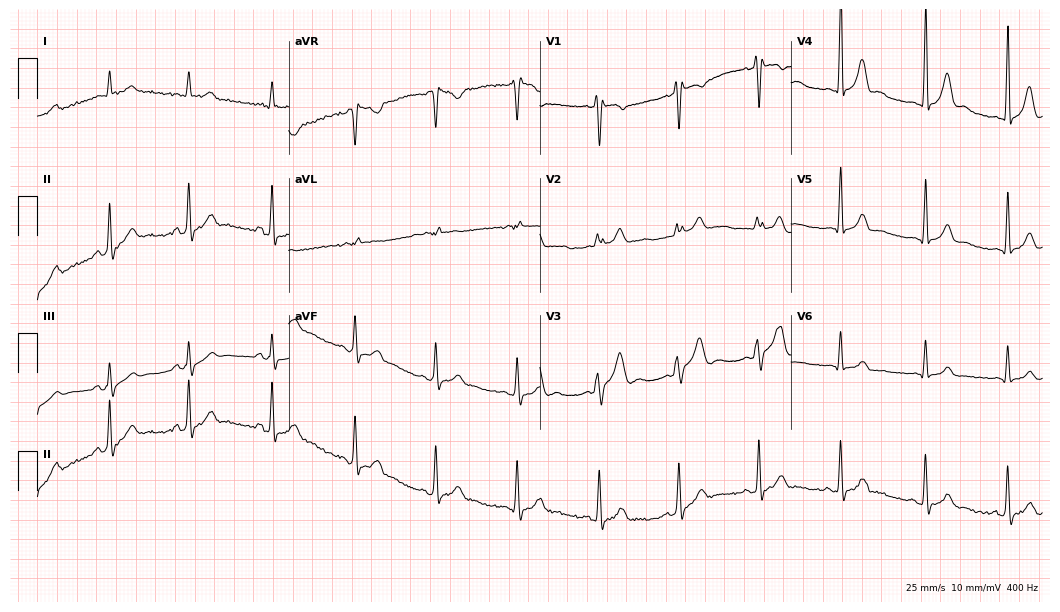
12-lead ECG (10.2-second recording at 400 Hz) from a male, 27 years old. Screened for six findings — first-degree AV block, right bundle branch block, left bundle branch block, sinus bradycardia, atrial fibrillation, sinus tachycardia — none is recorded.